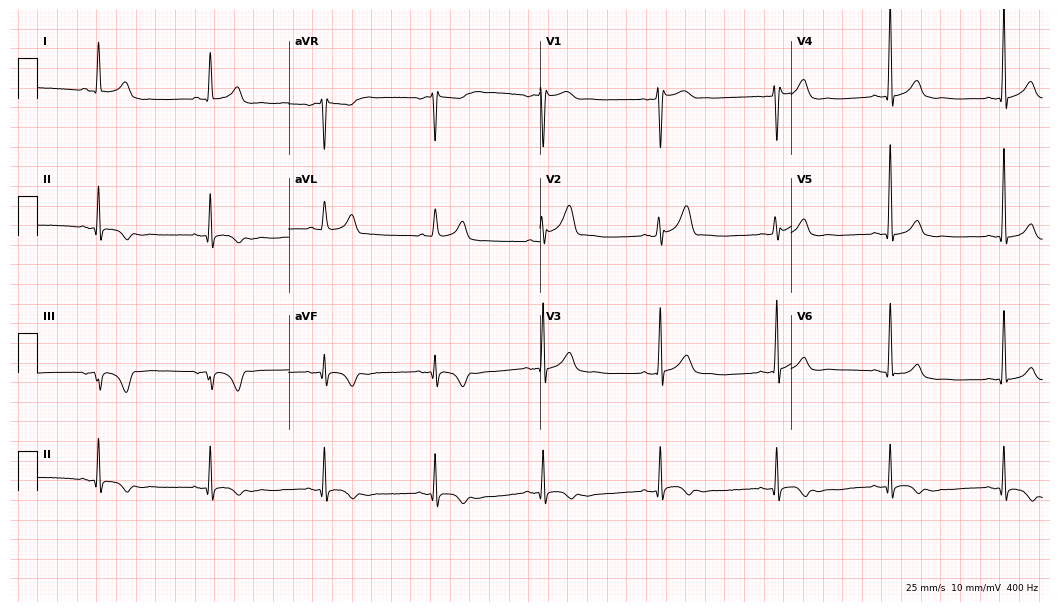
12-lead ECG from a man, 64 years old. No first-degree AV block, right bundle branch block, left bundle branch block, sinus bradycardia, atrial fibrillation or sinus tachycardia recorded for this tracing.